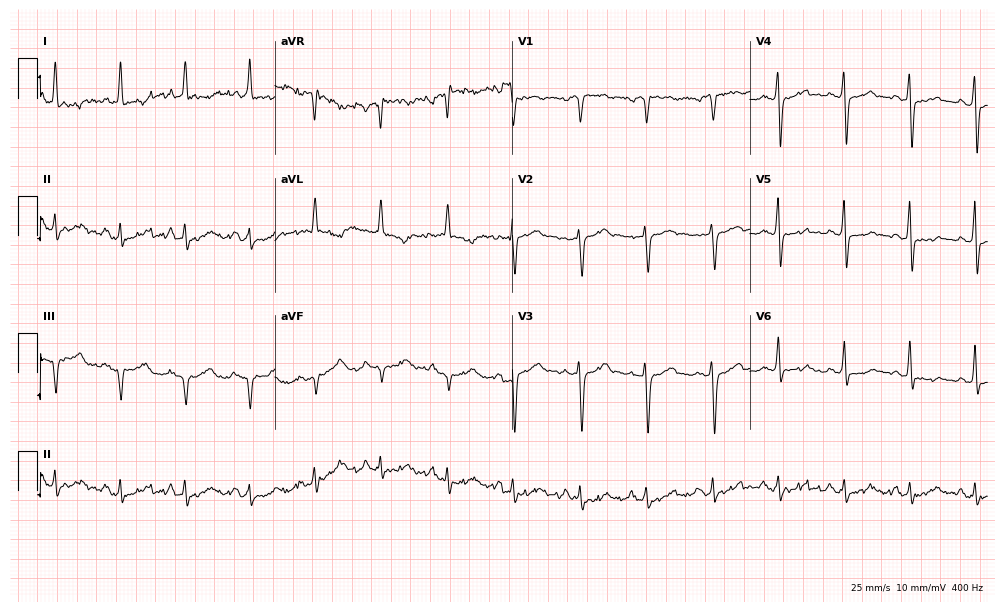
12-lead ECG from a man, 60 years old. Screened for six findings — first-degree AV block, right bundle branch block, left bundle branch block, sinus bradycardia, atrial fibrillation, sinus tachycardia — none is recorded. Findings outside these six are not listed.